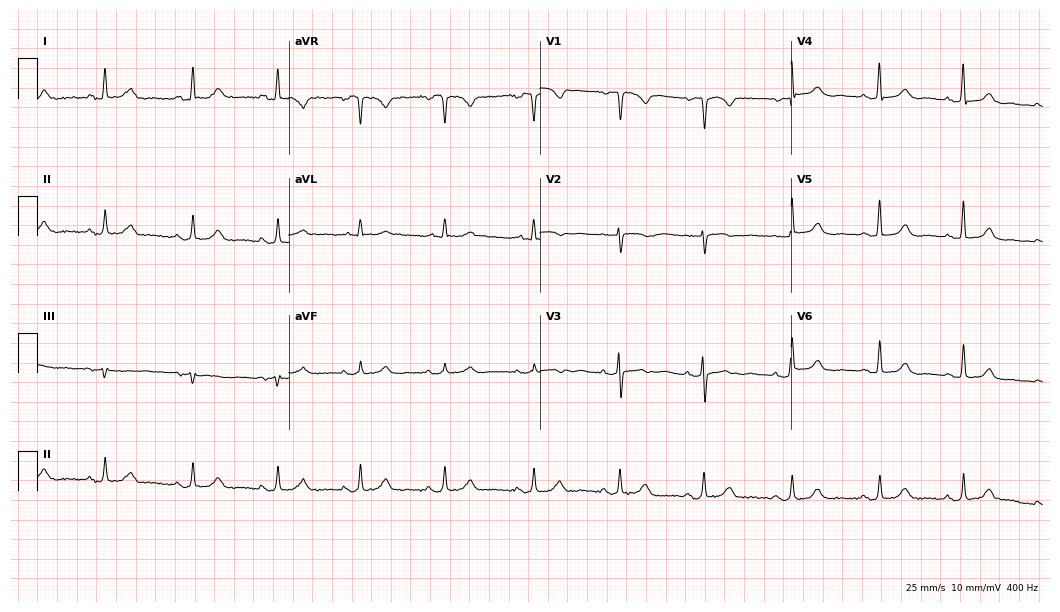
12-lead ECG (10.2-second recording at 400 Hz) from a 57-year-old female patient. Screened for six findings — first-degree AV block, right bundle branch block, left bundle branch block, sinus bradycardia, atrial fibrillation, sinus tachycardia — none is recorded. Only these six findings were labelled.